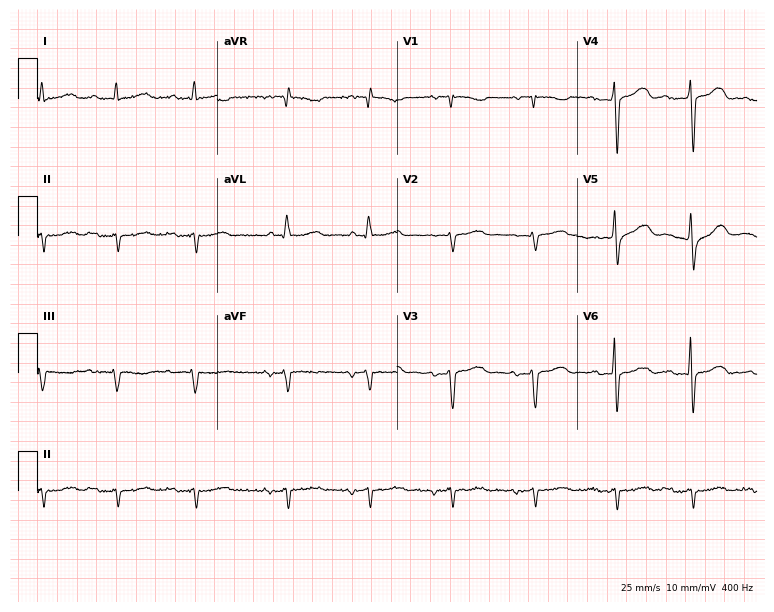
Electrocardiogram (7.3-second recording at 400 Hz), a 67-year-old male patient. Of the six screened findings (first-degree AV block, right bundle branch block, left bundle branch block, sinus bradycardia, atrial fibrillation, sinus tachycardia), none is recorded.